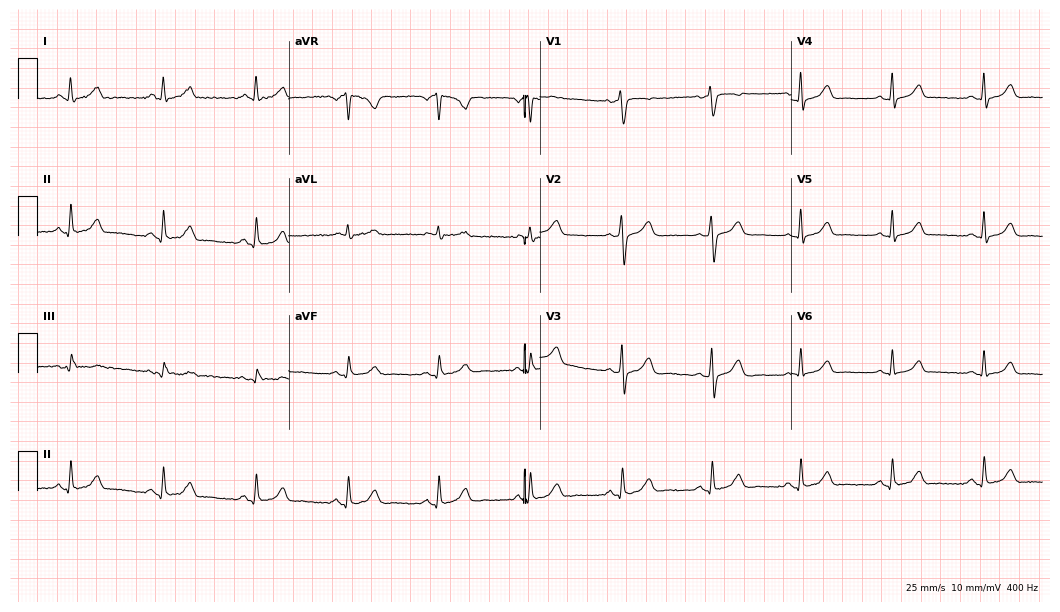
Resting 12-lead electrocardiogram. Patient: a 47-year-old female. None of these six findings is recorded: first-degree AV block, right bundle branch block, left bundle branch block, sinus bradycardia, atrial fibrillation, sinus tachycardia. Only these six findings were labelled.